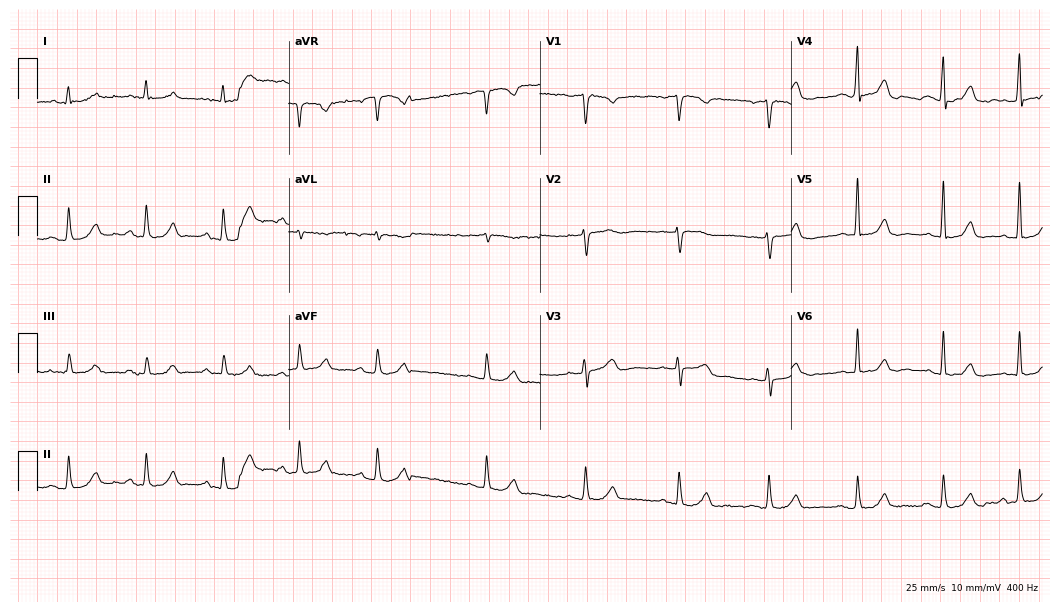
ECG (10.2-second recording at 400 Hz) — a male, 67 years old. Screened for six findings — first-degree AV block, right bundle branch block, left bundle branch block, sinus bradycardia, atrial fibrillation, sinus tachycardia — none is recorded. Other findings, if any, are not listed.